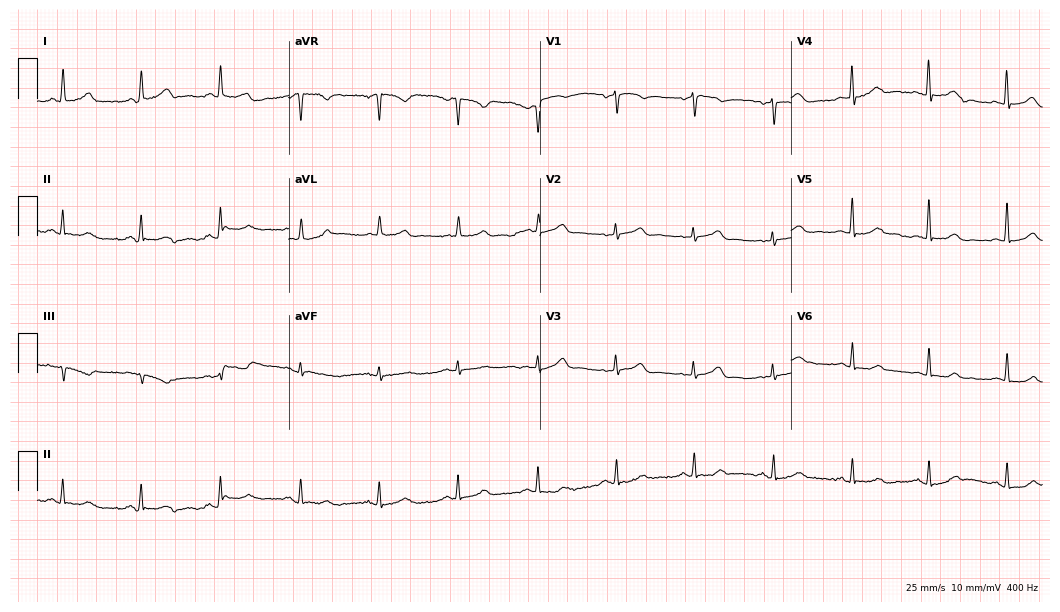
ECG — a 67-year-old female patient. Screened for six findings — first-degree AV block, right bundle branch block, left bundle branch block, sinus bradycardia, atrial fibrillation, sinus tachycardia — none is recorded. Only these six findings were labelled.